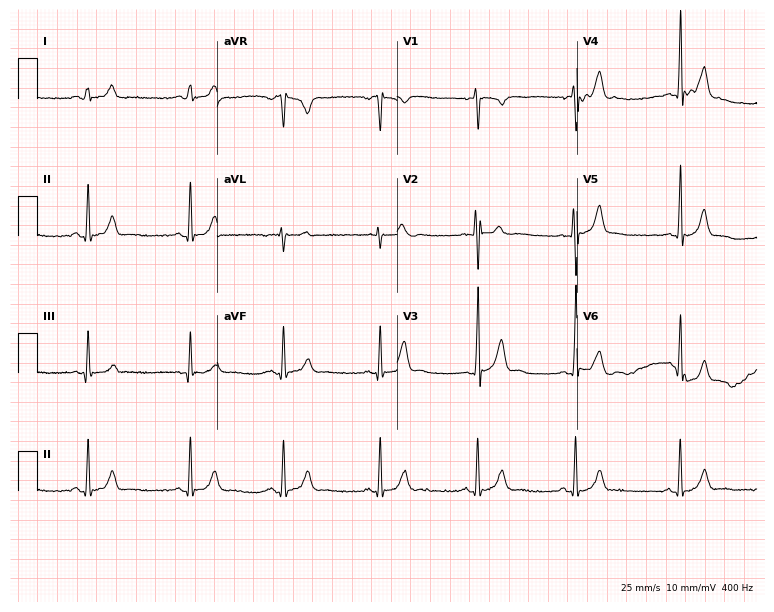
Standard 12-lead ECG recorded from a male patient, 21 years old (7.3-second recording at 400 Hz). Read as a normal ECG.